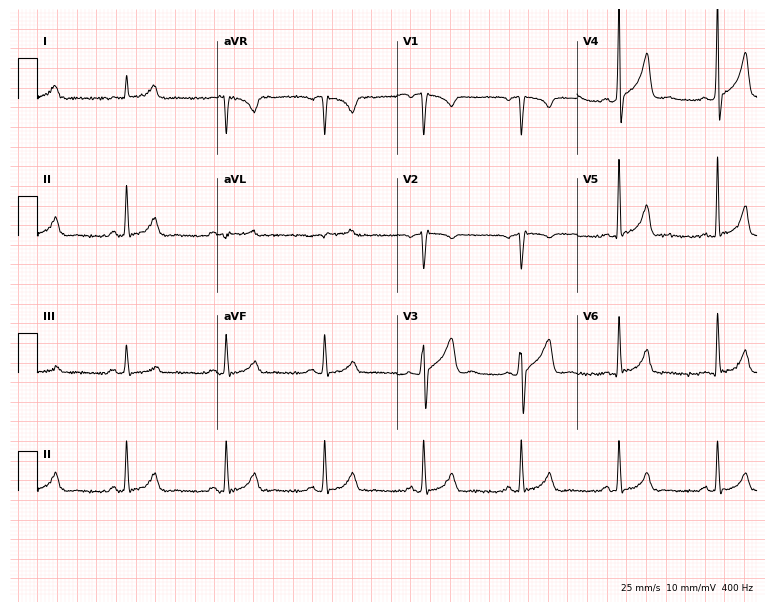
Electrocardiogram (7.3-second recording at 400 Hz), a 40-year-old male. Of the six screened findings (first-degree AV block, right bundle branch block, left bundle branch block, sinus bradycardia, atrial fibrillation, sinus tachycardia), none is recorded. Findings outside these six are not listed.